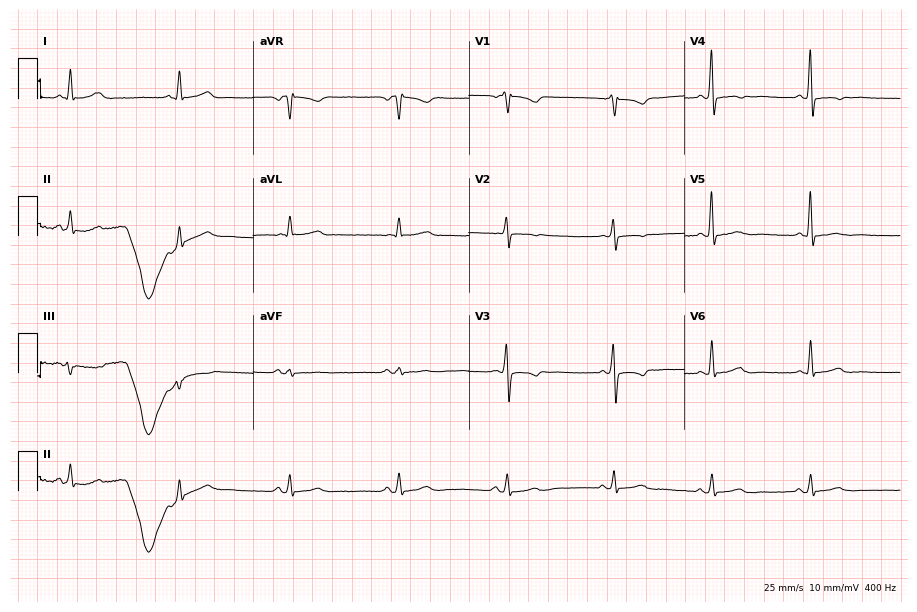
Electrocardiogram, an 84-year-old female patient. Overall reading on record: normal ECG.